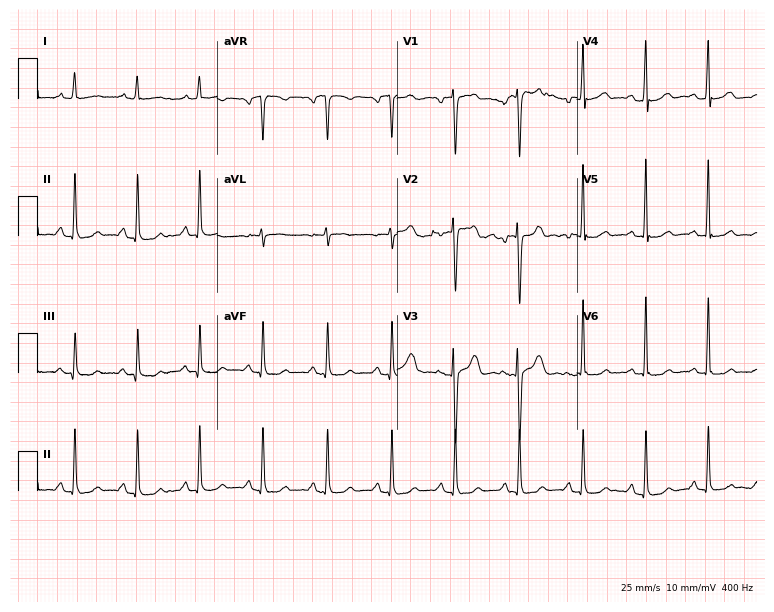
Standard 12-lead ECG recorded from a 47-year-old woman (7.3-second recording at 400 Hz). None of these six findings is recorded: first-degree AV block, right bundle branch block (RBBB), left bundle branch block (LBBB), sinus bradycardia, atrial fibrillation (AF), sinus tachycardia. Other findings, if any, are not listed.